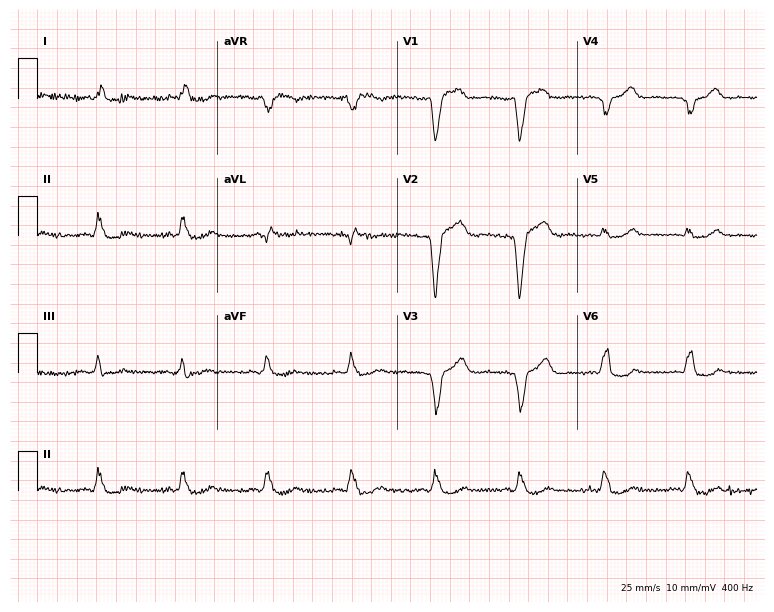
Standard 12-lead ECG recorded from a 61-year-old female patient (7.3-second recording at 400 Hz). The tracing shows left bundle branch block.